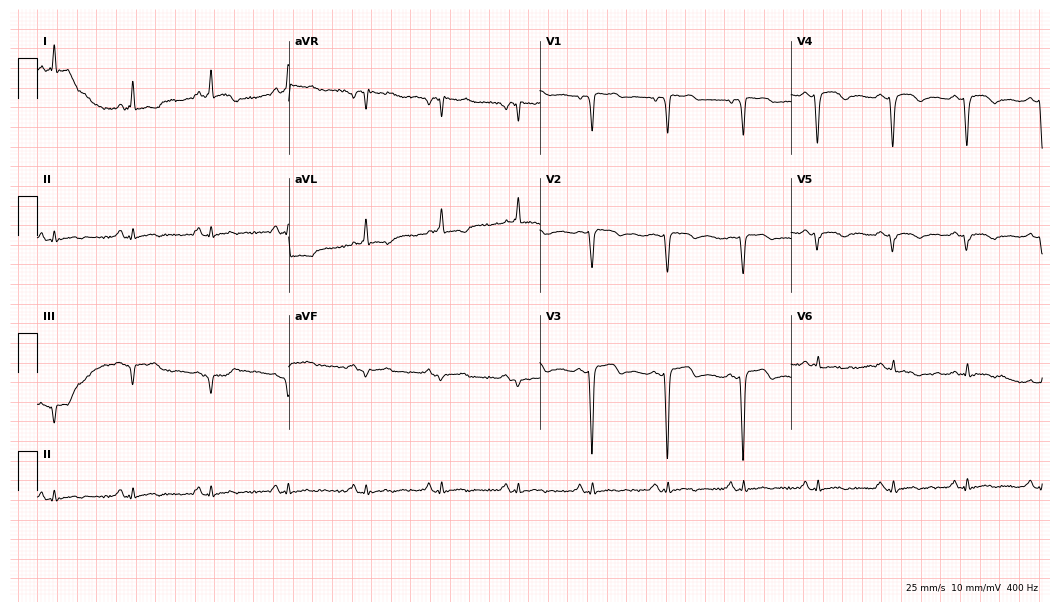
12-lead ECG (10.2-second recording at 400 Hz) from a 50-year-old female. Screened for six findings — first-degree AV block, right bundle branch block (RBBB), left bundle branch block (LBBB), sinus bradycardia, atrial fibrillation (AF), sinus tachycardia — none is recorded.